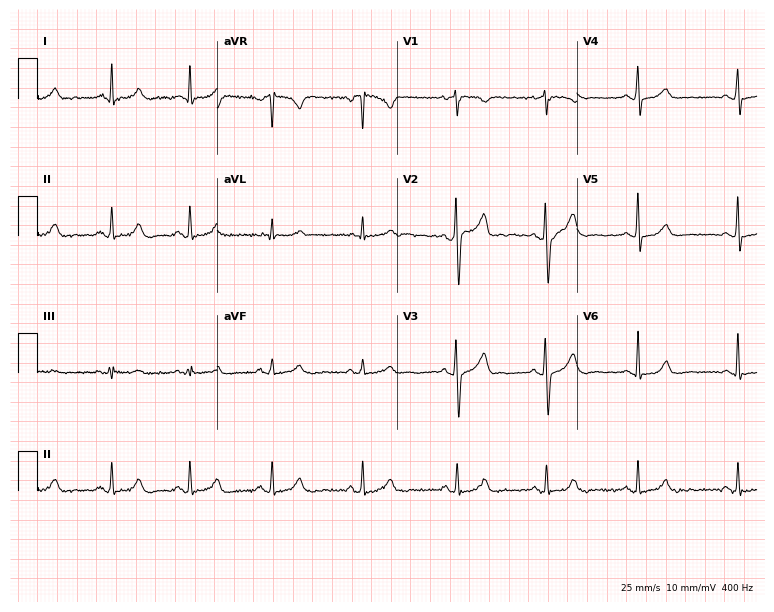
12-lead ECG from a woman, 29 years old (7.3-second recording at 400 Hz). Recorded interpretation: within normal limits.